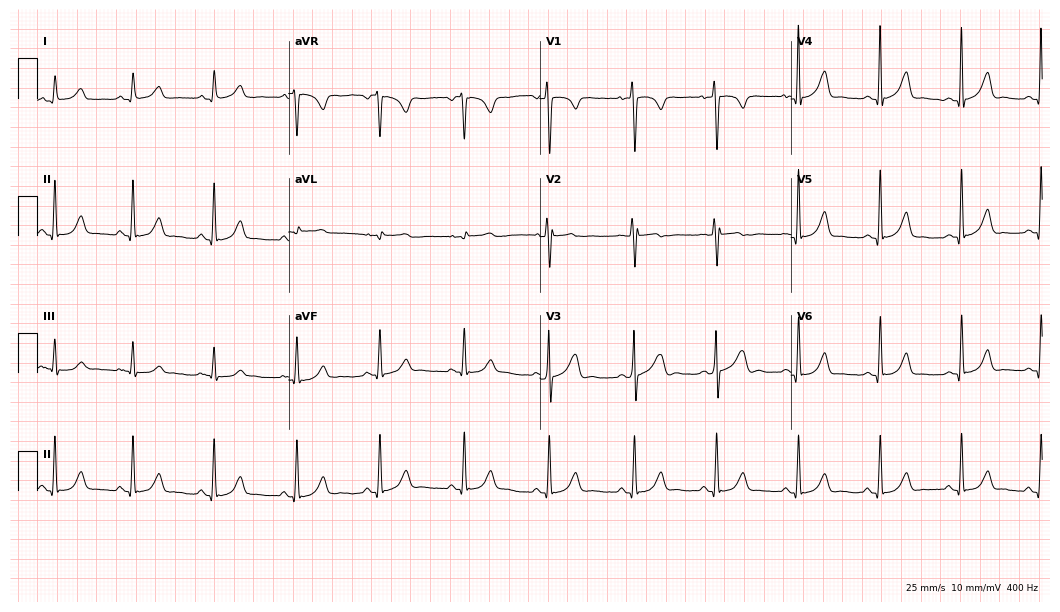
12-lead ECG from a man, 63 years old. Recorded interpretation: within normal limits.